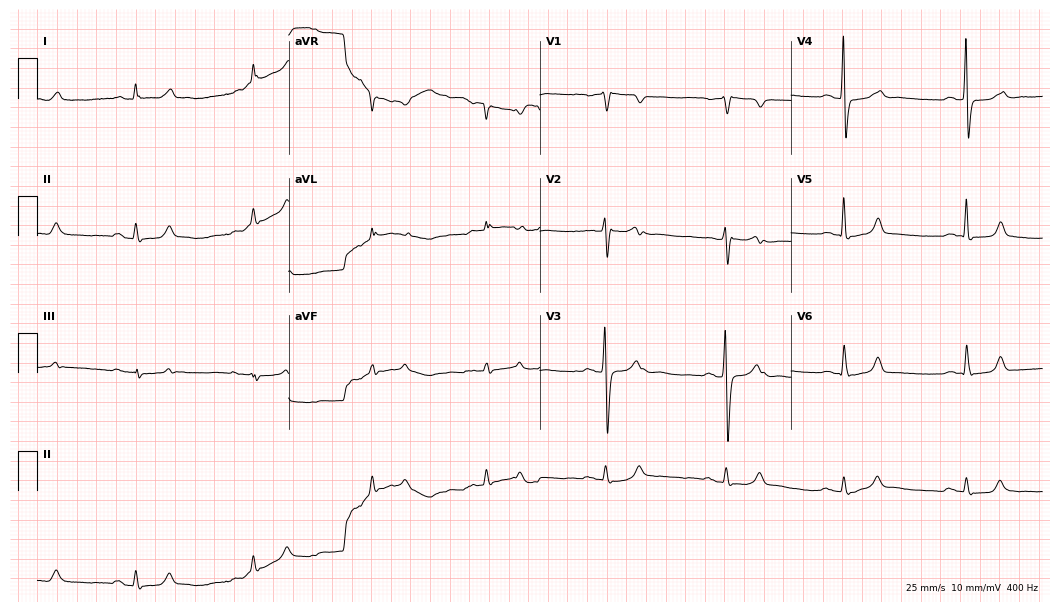
Standard 12-lead ECG recorded from a male patient, 58 years old. The tracing shows sinus bradycardia (a sinus rate of 50 beats per minute or less).